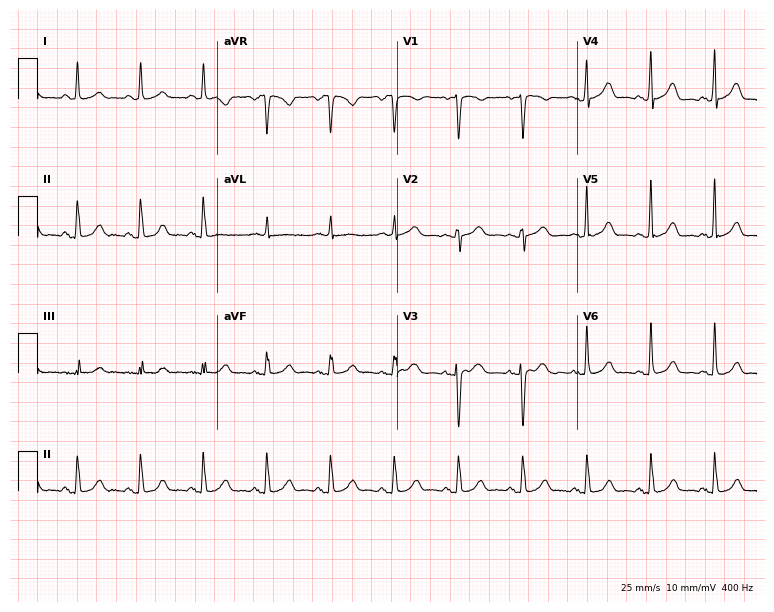
ECG — a 57-year-old woman. Labelled as a normal ECG.